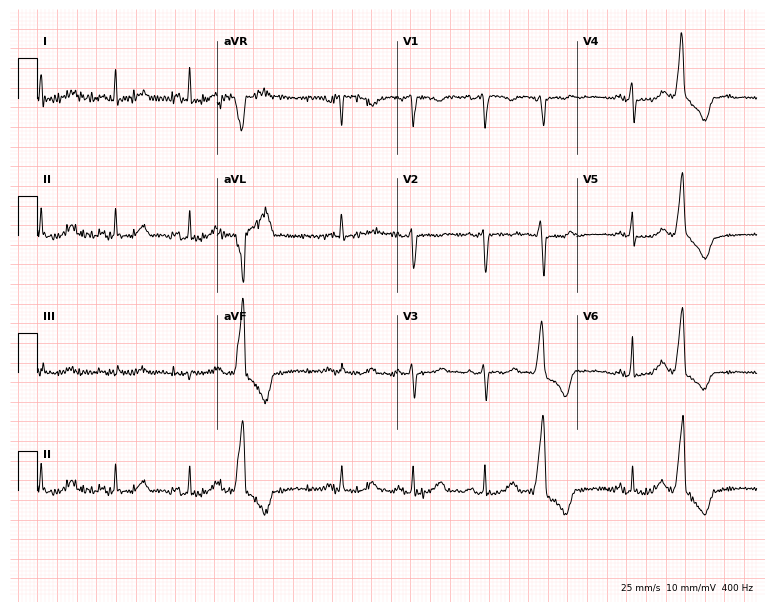
Standard 12-lead ECG recorded from a 37-year-old female patient. None of these six findings is recorded: first-degree AV block, right bundle branch block (RBBB), left bundle branch block (LBBB), sinus bradycardia, atrial fibrillation (AF), sinus tachycardia.